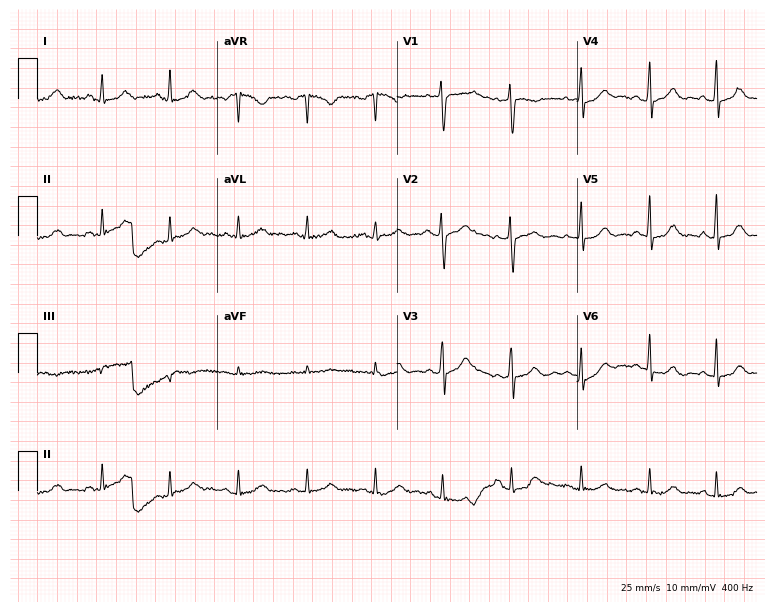
Electrocardiogram (7.3-second recording at 400 Hz), a 48-year-old female. Overall reading on record: normal ECG.